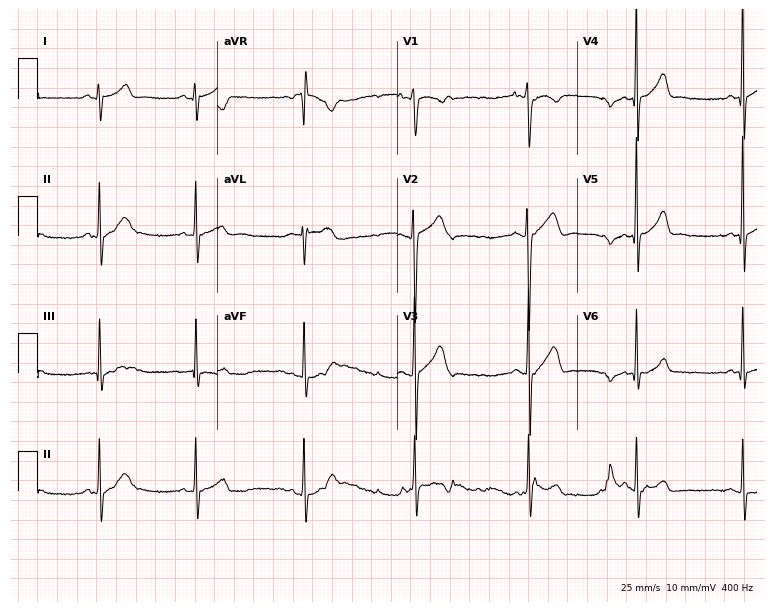
12-lead ECG (7.3-second recording at 400 Hz) from a man, 17 years old. Labelled as a normal ECG.